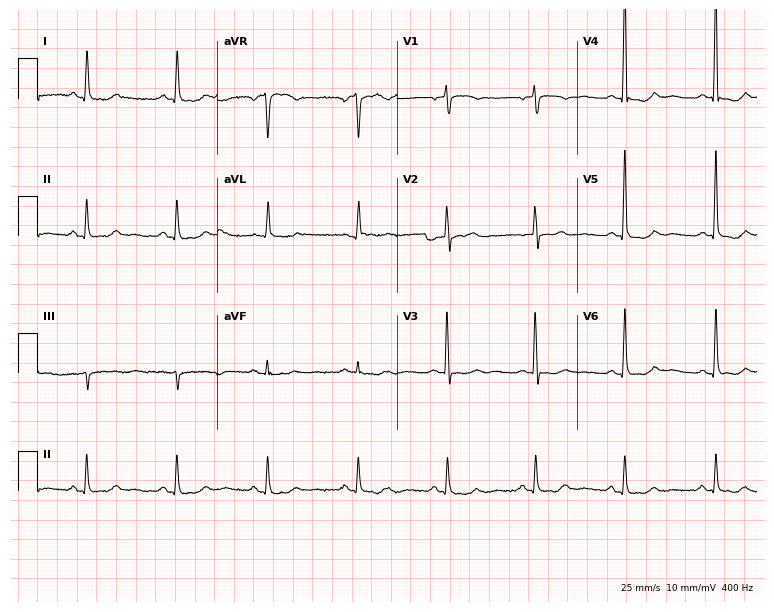
12-lead ECG from a female patient, 73 years old. No first-degree AV block, right bundle branch block (RBBB), left bundle branch block (LBBB), sinus bradycardia, atrial fibrillation (AF) or sinus tachycardia recorded for this tracing. Findings outside these six are not listed.